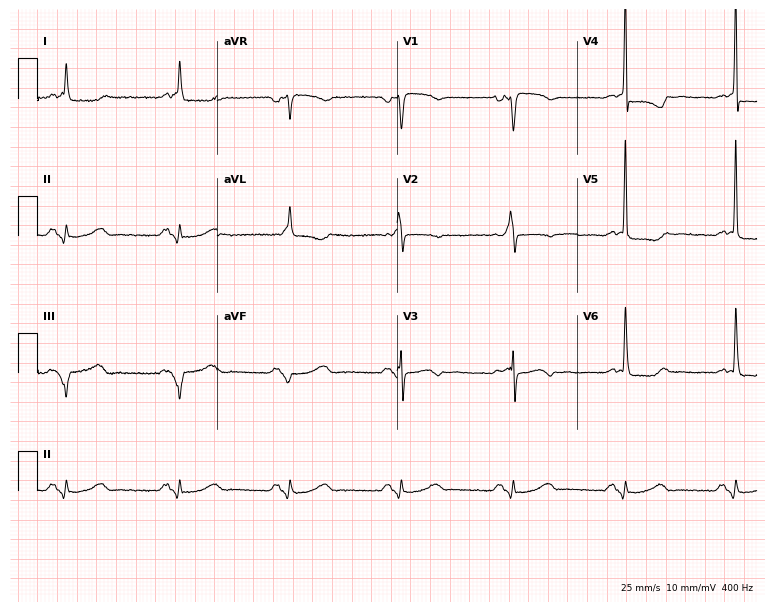
ECG (7.3-second recording at 400 Hz) — a woman, 80 years old. Screened for six findings — first-degree AV block, right bundle branch block, left bundle branch block, sinus bradycardia, atrial fibrillation, sinus tachycardia — none is recorded.